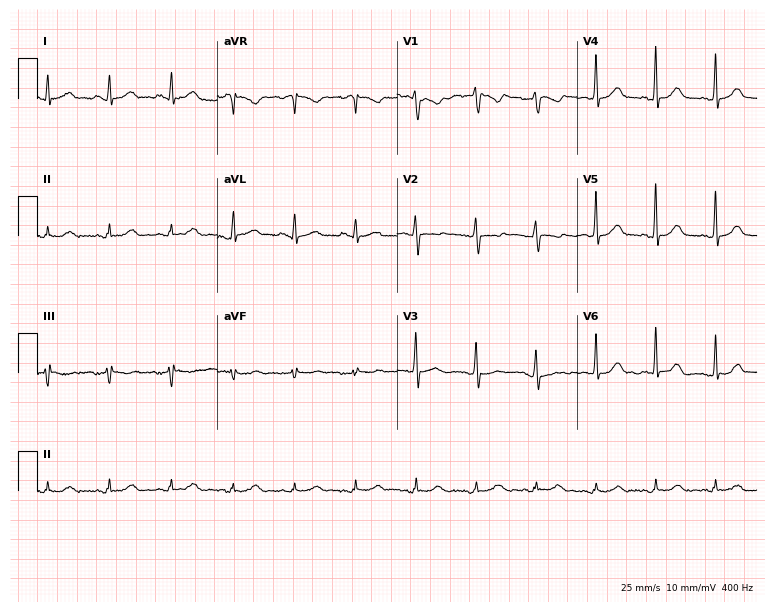
ECG — a woman, 44 years old. Labelled as a normal ECG.